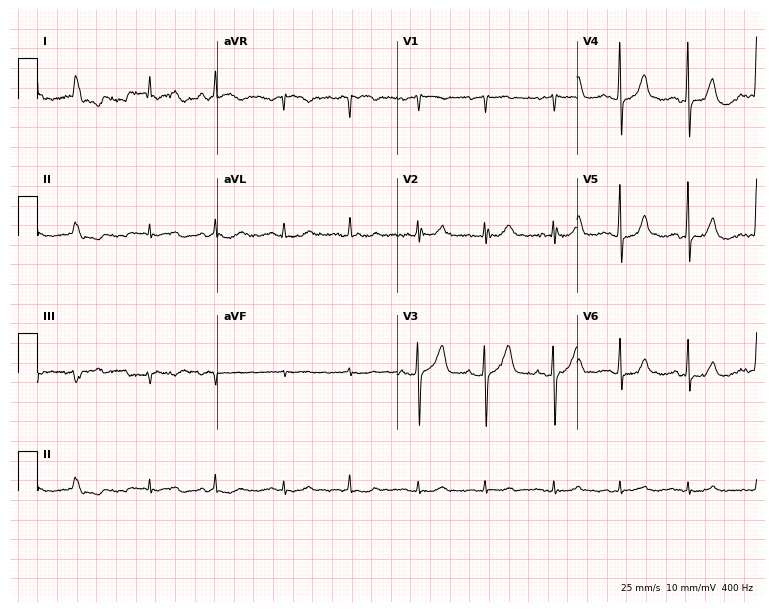
Standard 12-lead ECG recorded from an 81-year-old woman. Read as a normal ECG.